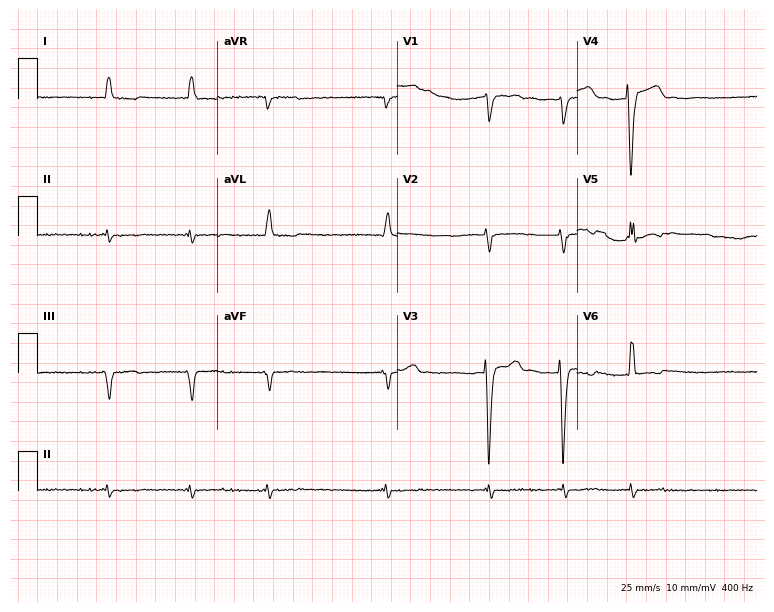
Electrocardiogram, a 69-year-old man. Interpretation includes left bundle branch block, atrial fibrillation.